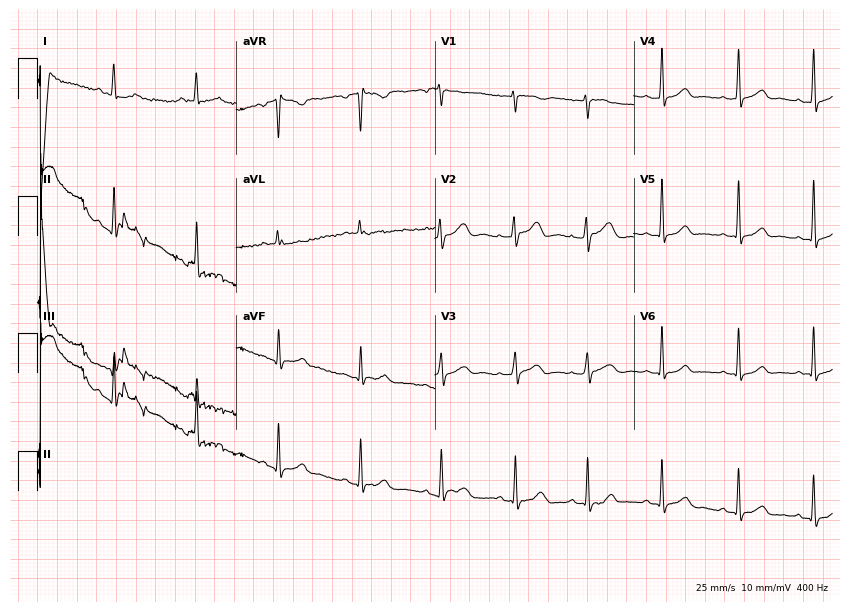
Standard 12-lead ECG recorded from a female patient, 37 years old (8.1-second recording at 400 Hz). Read as a normal ECG.